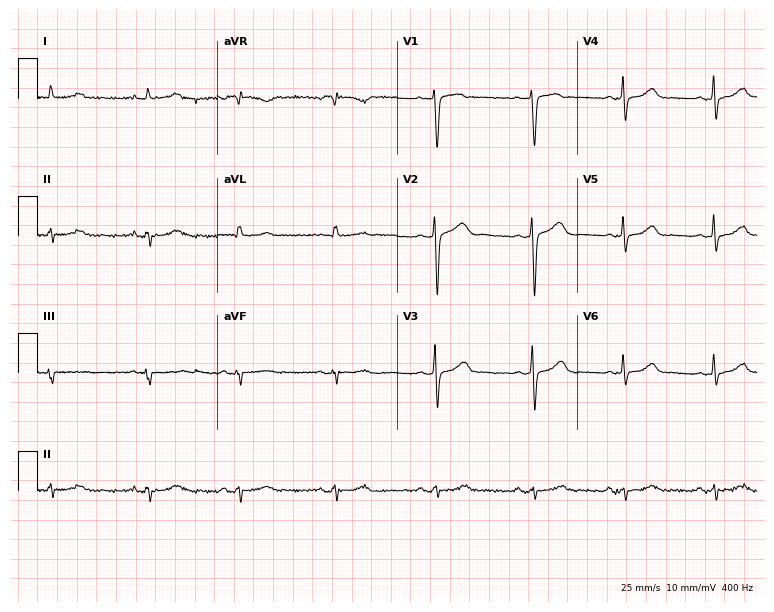
Standard 12-lead ECG recorded from a 41-year-old female patient. None of these six findings is recorded: first-degree AV block, right bundle branch block, left bundle branch block, sinus bradycardia, atrial fibrillation, sinus tachycardia. Other findings, if any, are not listed.